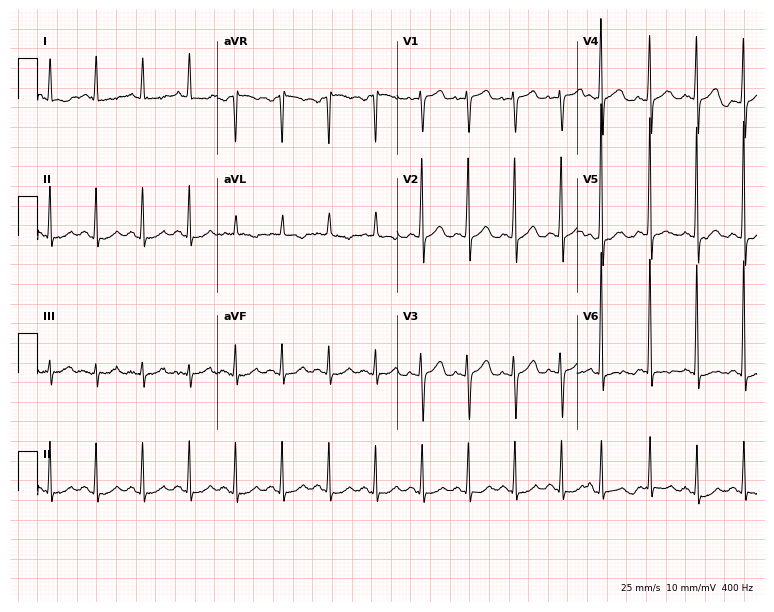
Standard 12-lead ECG recorded from an 80-year-old woman (7.3-second recording at 400 Hz). The tracing shows sinus tachycardia (a sinus rate of 100 beats per minute or more).